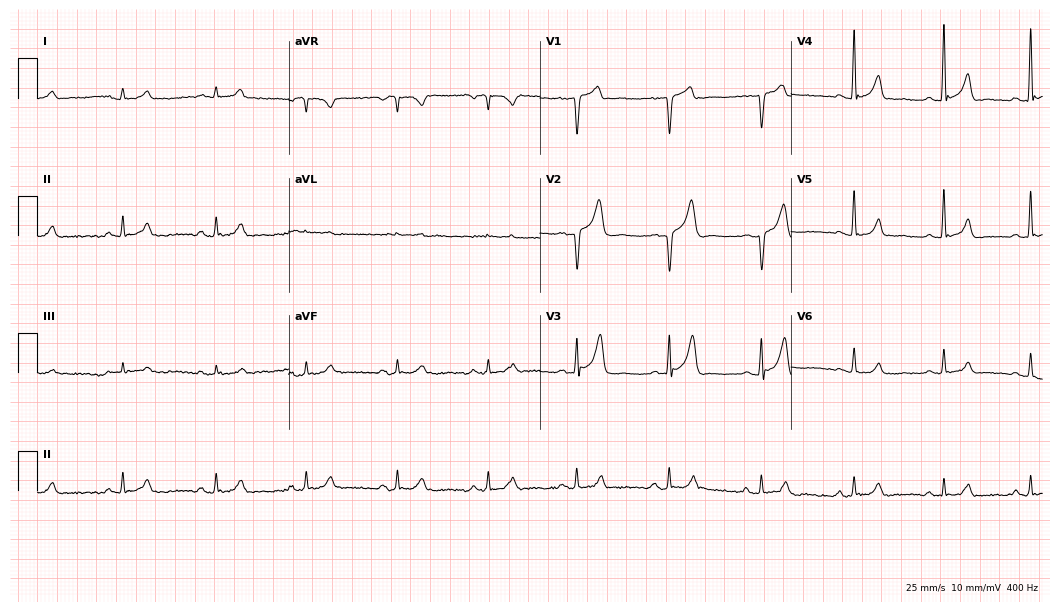
Electrocardiogram (10.2-second recording at 400 Hz), a 42-year-old man. Overall reading on record: normal ECG.